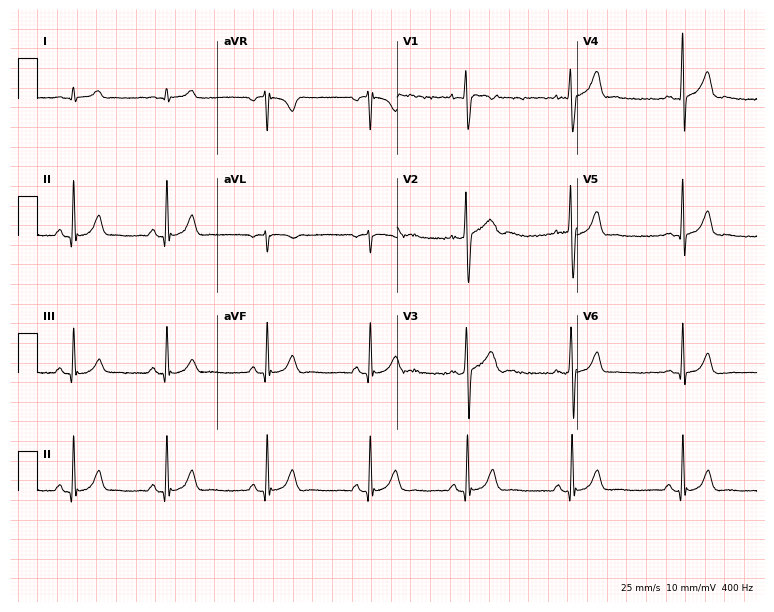
ECG (7.3-second recording at 400 Hz) — a 20-year-old male patient. Labelled as a normal ECG.